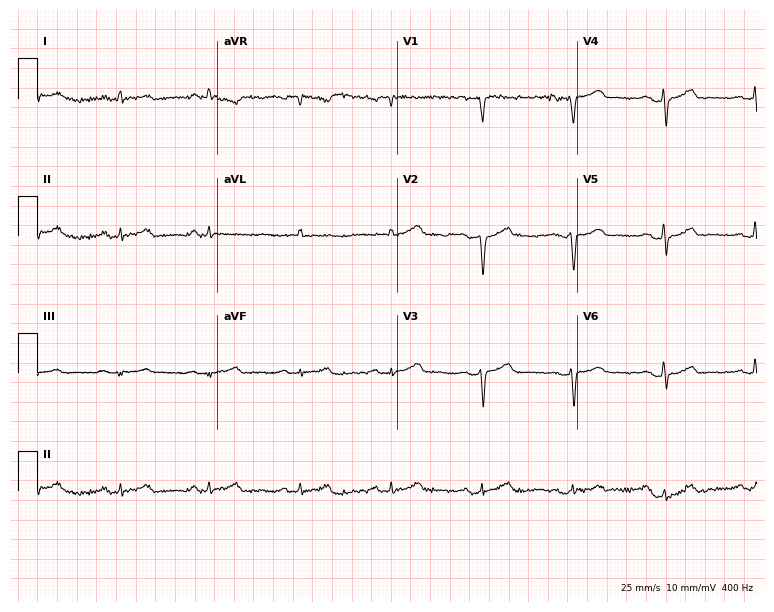
ECG (7.3-second recording at 400 Hz) — a 58-year-old male. Screened for six findings — first-degree AV block, right bundle branch block, left bundle branch block, sinus bradycardia, atrial fibrillation, sinus tachycardia — none is recorded. Findings outside these six are not listed.